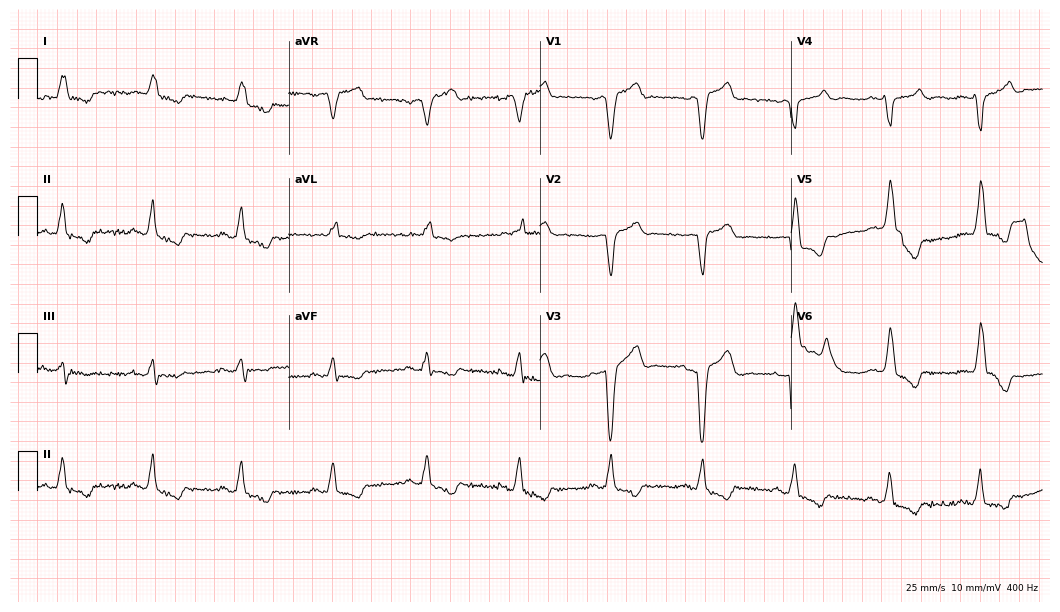
Resting 12-lead electrocardiogram (10.2-second recording at 400 Hz). Patient: a 68-year-old man. The tracing shows left bundle branch block.